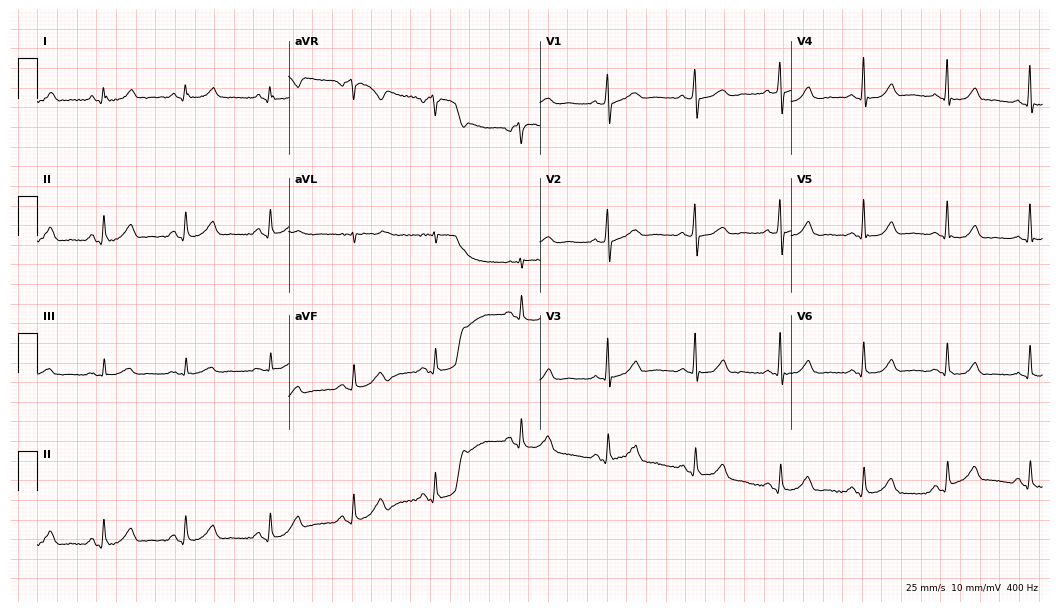
Electrocardiogram, a 56-year-old female patient. Overall reading on record: normal ECG.